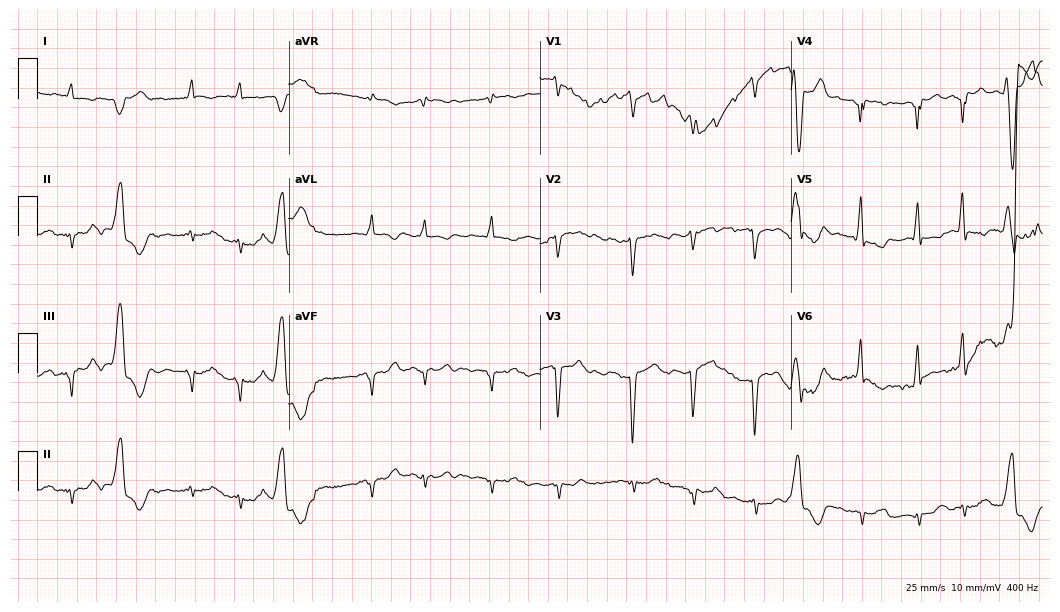
Electrocardiogram (10.2-second recording at 400 Hz), a 79-year-old man. Interpretation includes atrial fibrillation.